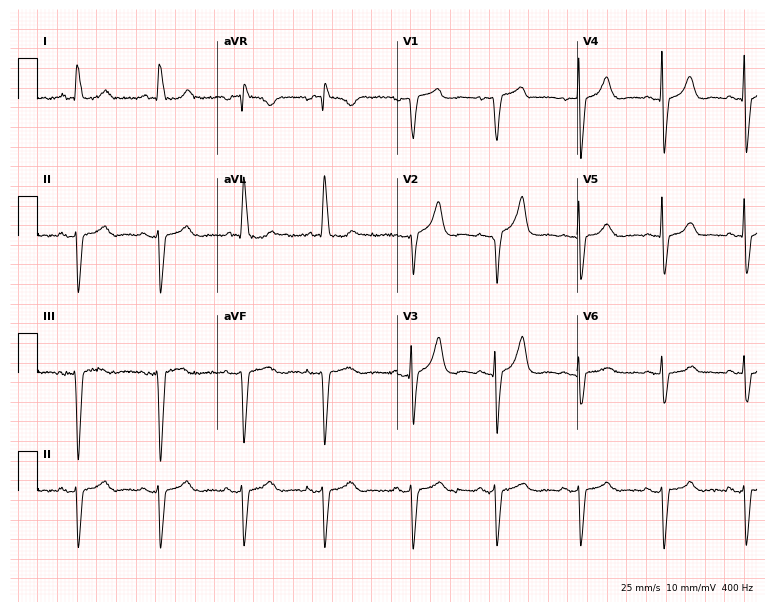
ECG — a female, 83 years old. Screened for six findings — first-degree AV block, right bundle branch block (RBBB), left bundle branch block (LBBB), sinus bradycardia, atrial fibrillation (AF), sinus tachycardia — none is recorded.